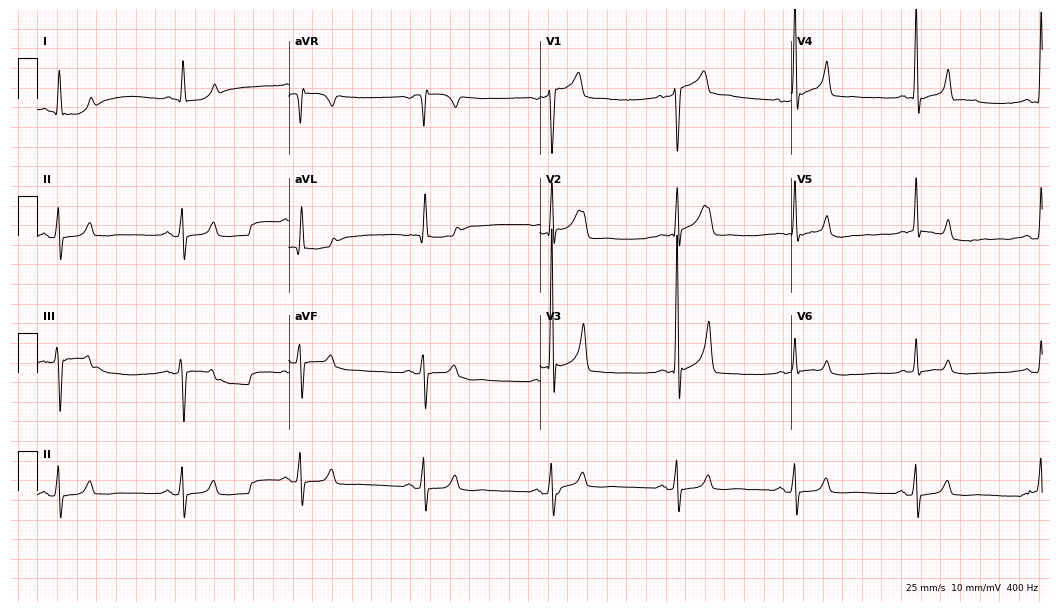
12-lead ECG (10.2-second recording at 400 Hz) from a male, 34 years old. Findings include sinus bradycardia (a sinus rate of 50 beats per minute or less).